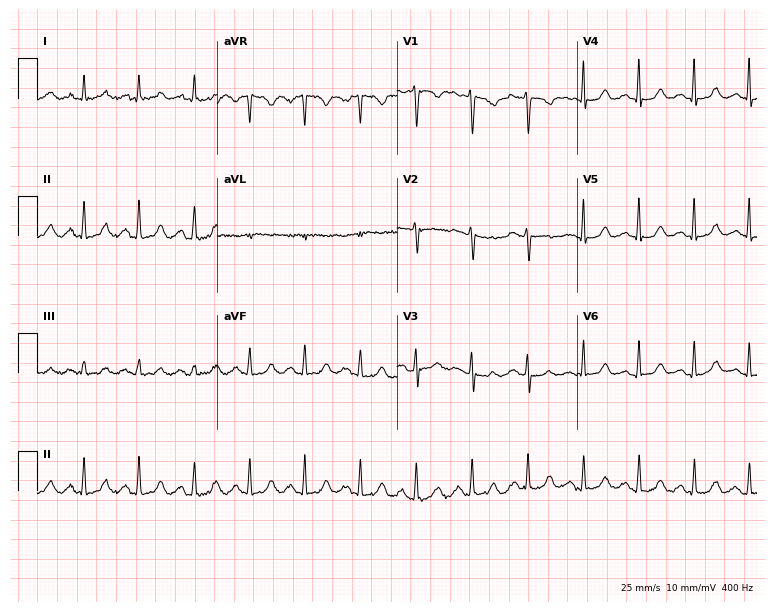
ECG (7.3-second recording at 400 Hz) — a 62-year-old woman. Findings include sinus tachycardia (a sinus rate of 100 beats per minute or more).